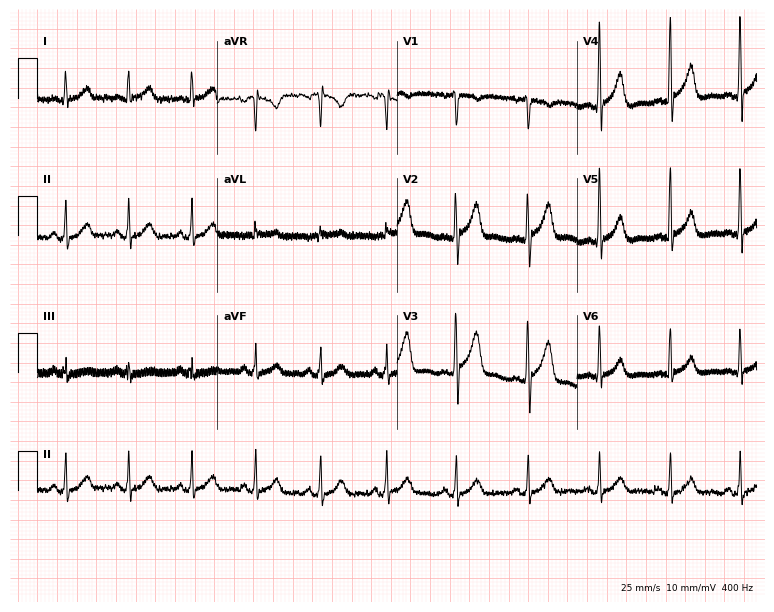
12-lead ECG from a male patient, 41 years old. No first-degree AV block, right bundle branch block, left bundle branch block, sinus bradycardia, atrial fibrillation or sinus tachycardia recorded for this tracing.